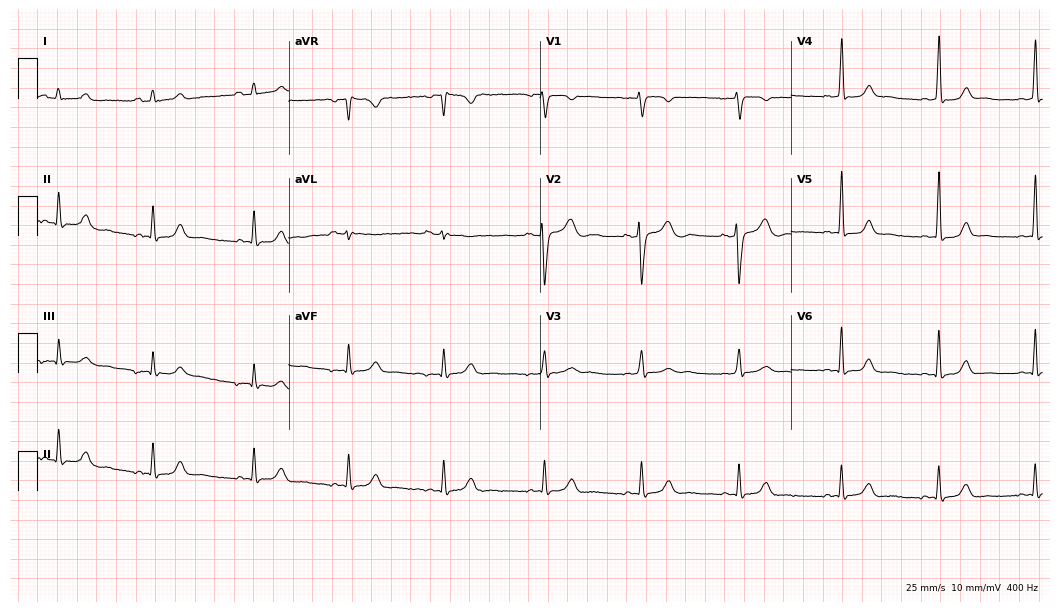
Standard 12-lead ECG recorded from a 24-year-old female (10.2-second recording at 400 Hz). Read as a normal ECG.